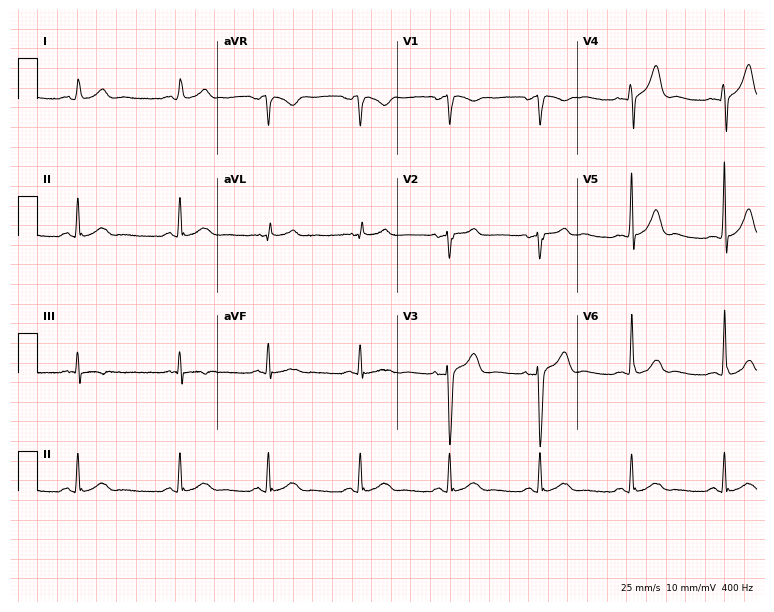
12-lead ECG from a 26-year-old female. No first-degree AV block, right bundle branch block, left bundle branch block, sinus bradycardia, atrial fibrillation or sinus tachycardia recorded for this tracing.